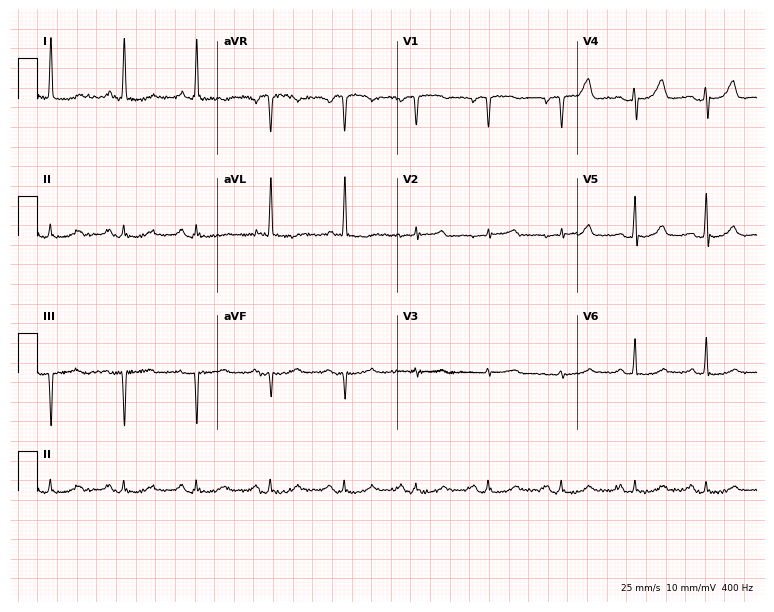
Resting 12-lead electrocardiogram. Patient: a female, 68 years old. None of these six findings is recorded: first-degree AV block, right bundle branch block, left bundle branch block, sinus bradycardia, atrial fibrillation, sinus tachycardia.